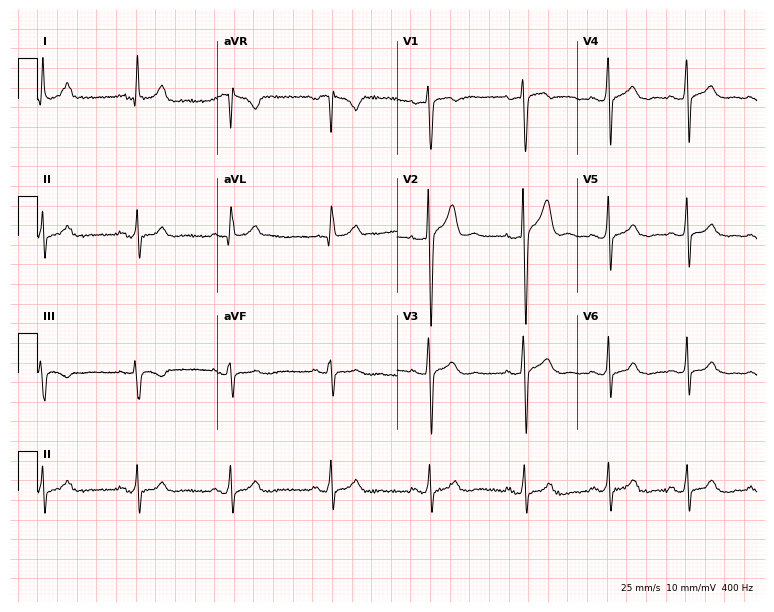
12-lead ECG from a 39-year-old male patient. Screened for six findings — first-degree AV block, right bundle branch block (RBBB), left bundle branch block (LBBB), sinus bradycardia, atrial fibrillation (AF), sinus tachycardia — none is recorded. Only these six findings were labelled.